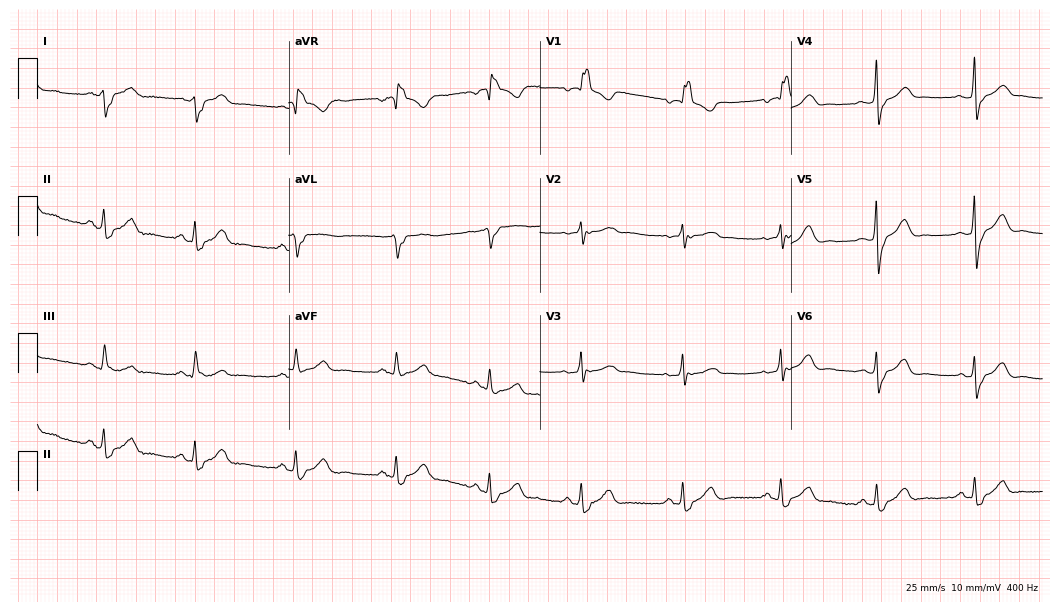
12-lead ECG (10.2-second recording at 400 Hz) from a 76-year-old woman. Findings include right bundle branch block (RBBB).